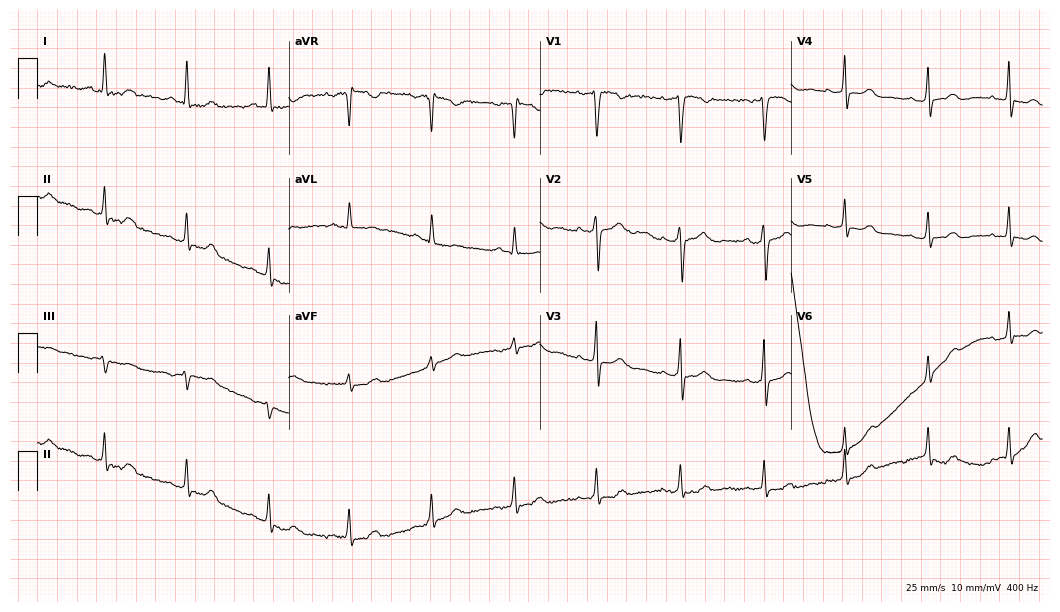
12-lead ECG (10.2-second recording at 400 Hz) from a female patient, 30 years old. Labelled as a normal ECG.